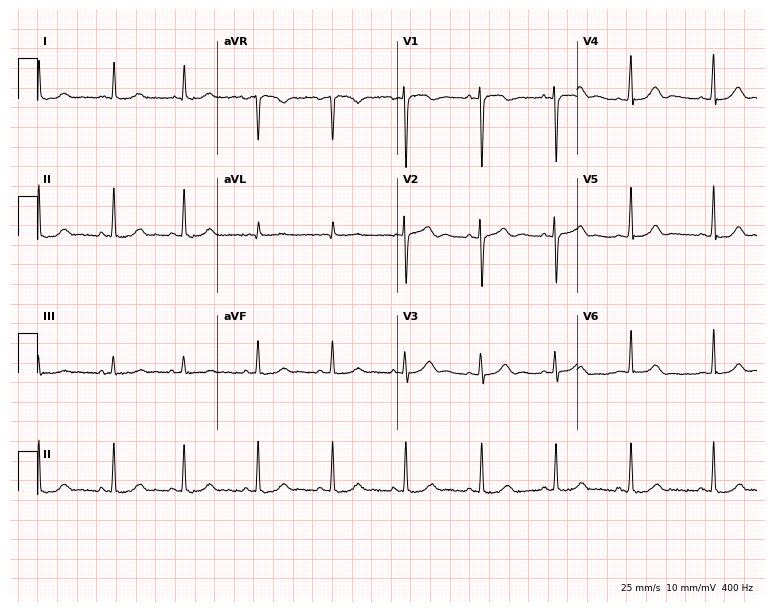
Standard 12-lead ECG recorded from a 26-year-old female. None of these six findings is recorded: first-degree AV block, right bundle branch block, left bundle branch block, sinus bradycardia, atrial fibrillation, sinus tachycardia. Other findings, if any, are not listed.